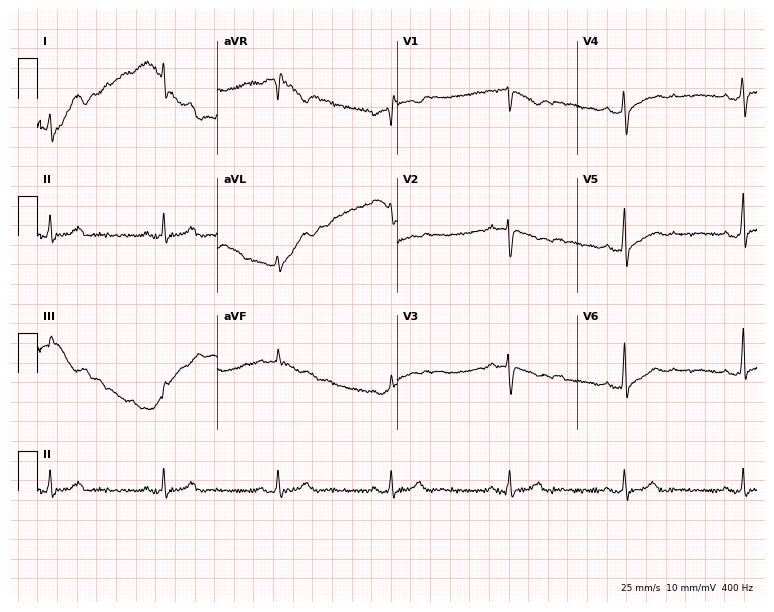
ECG — a 31-year-old female. Screened for six findings — first-degree AV block, right bundle branch block, left bundle branch block, sinus bradycardia, atrial fibrillation, sinus tachycardia — none is recorded. Other findings, if any, are not listed.